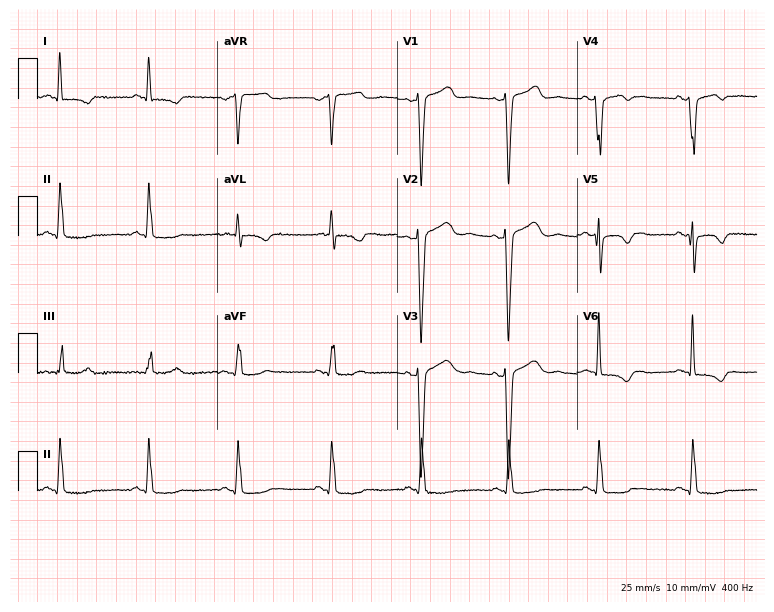
ECG (7.3-second recording at 400 Hz) — a 77-year-old female patient. Screened for six findings — first-degree AV block, right bundle branch block (RBBB), left bundle branch block (LBBB), sinus bradycardia, atrial fibrillation (AF), sinus tachycardia — none is recorded.